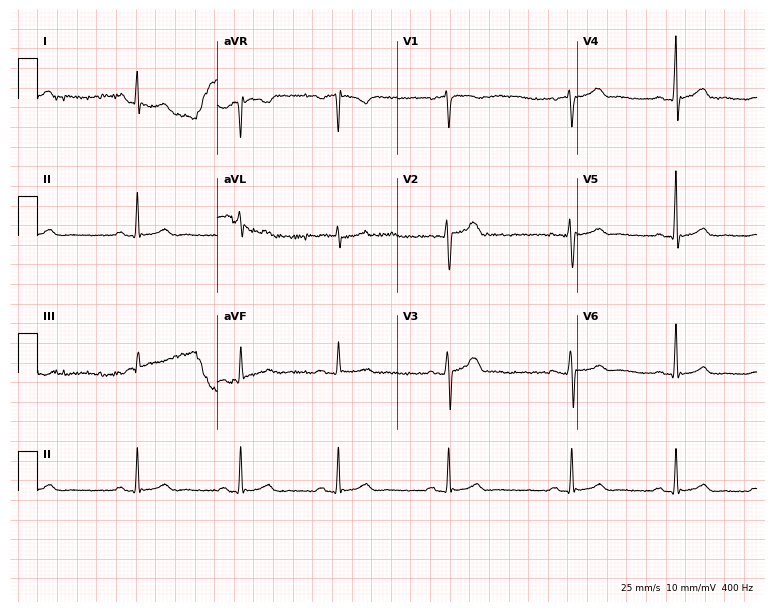
Resting 12-lead electrocardiogram (7.3-second recording at 400 Hz). Patient: a man, 32 years old. Read as a normal ECG.